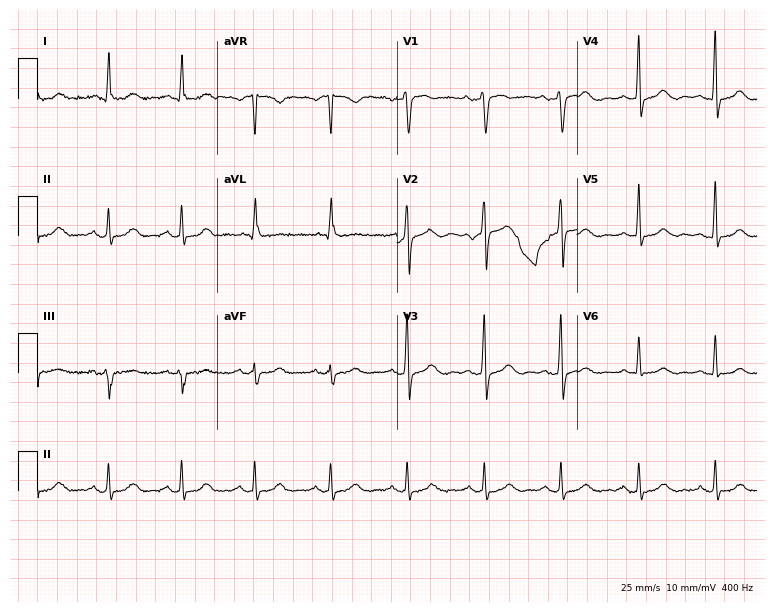
ECG (7.3-second recording at 400 Hz) — a 55-year-old female. Screened for six findings — first-degree AV block, right bundle branch block, left bundle branch block, sinus bradycardia, atrial fibrillation, sinus tachycardia — none is recorded.